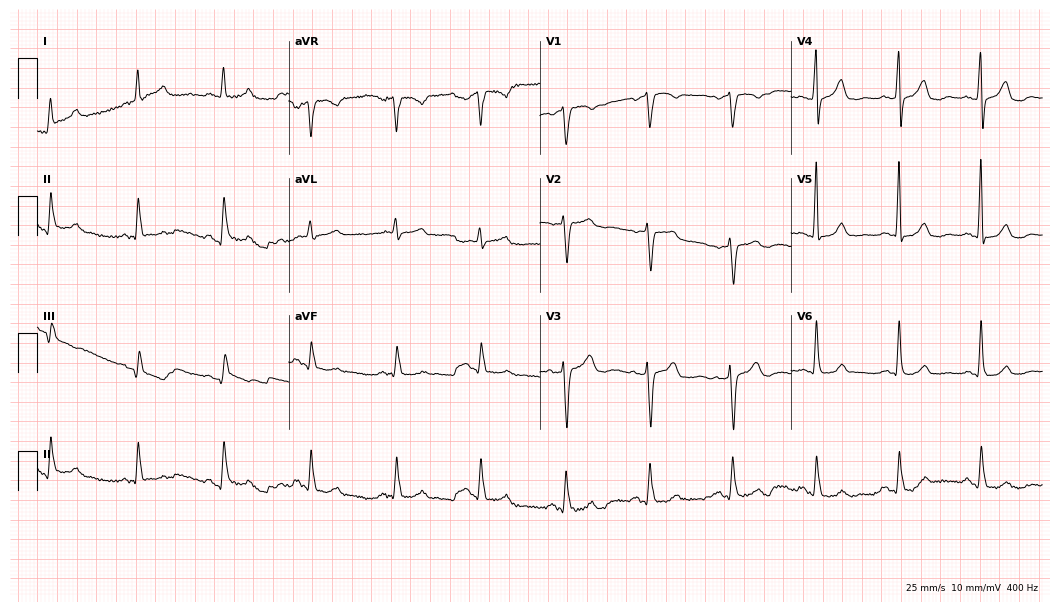
12-lead ECG from a woman, 53 years old. Screened for six findings — first-degree AV block, right bundle branch block, left bundle branch block, sinus bradycardia, atrial fibrillation, sinus tachycardia — none is recorded. Other findings, if any, are not listed.